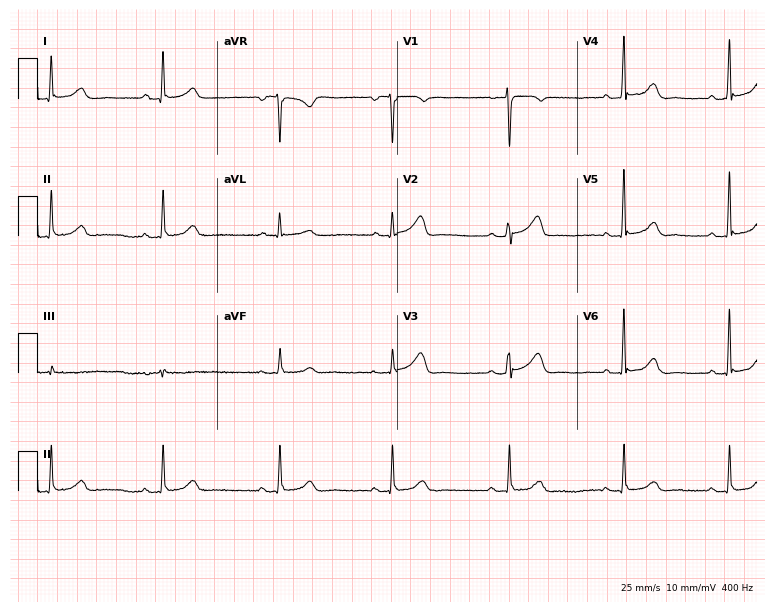
ECG — a 50-year-old female patient. Labelled as a normal ECG.